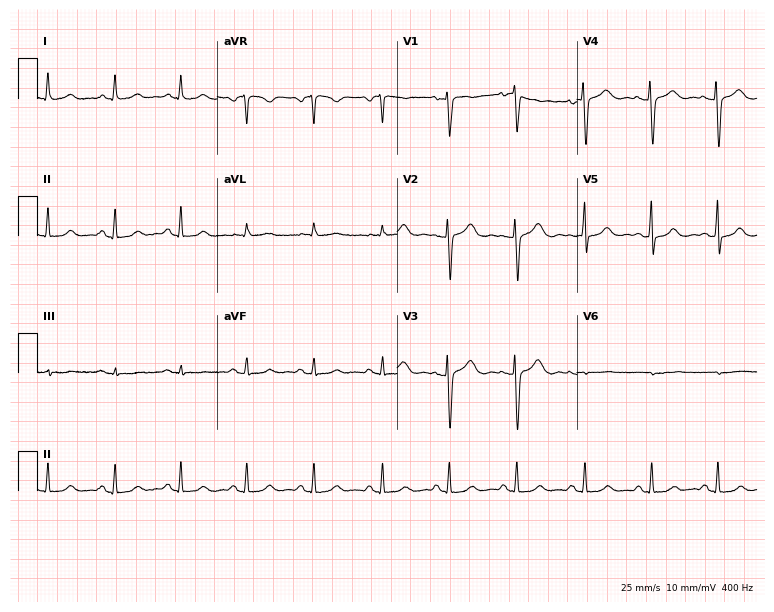
Electrocardiogram (7.3-second recording at 400 Hz), a 32-year-old woman. Overall reading on record: normal ECG.